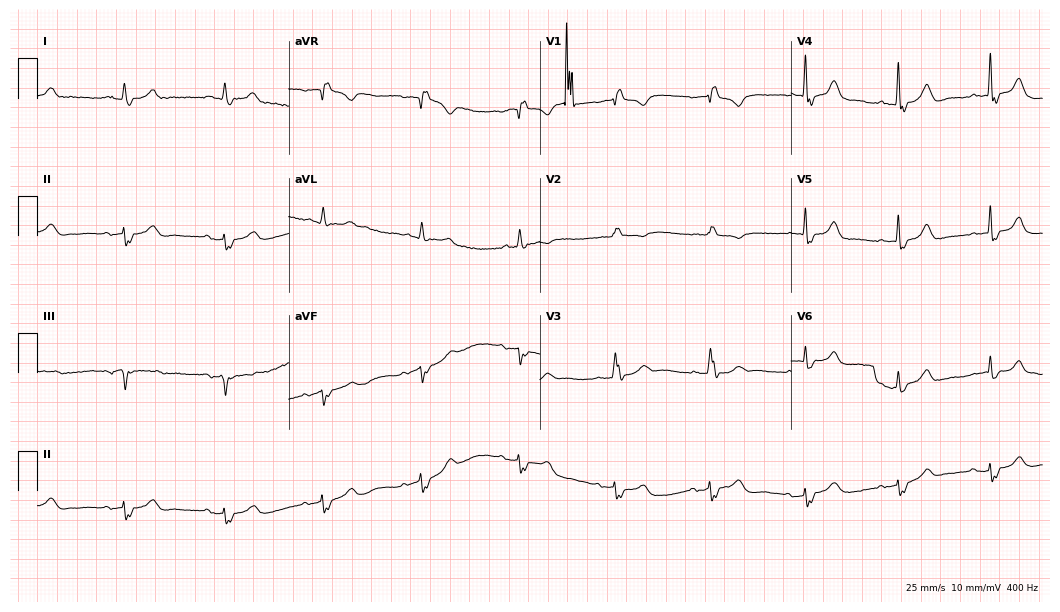
Resting 12-lead electrocardiogram (10.2-second recording at 400 Hz). Patient: an 84-year-old male. None of these six findings is recorded: first-degree AV block, right bundle branch block (RBBB), left bundle branch block (LBBB), sinus bradycardia, atrial fibrillation (AF), sinus tachycardia. Only these six findings were labelled.